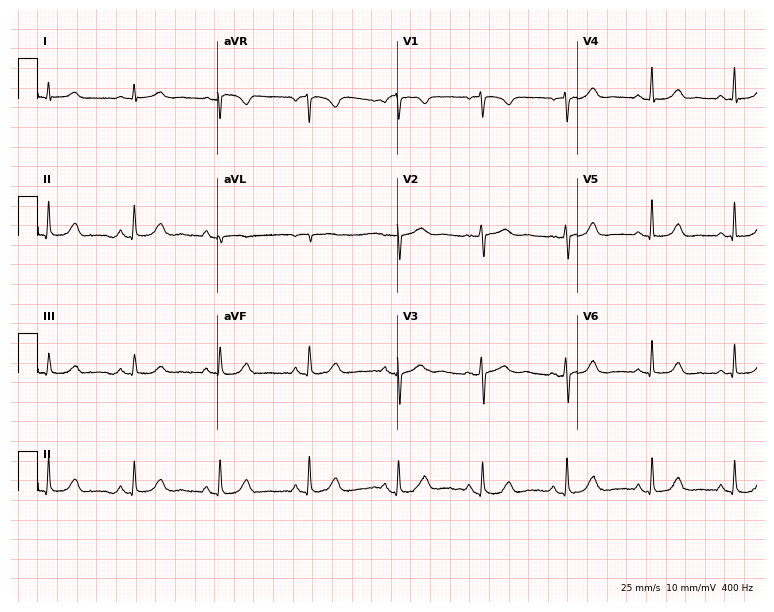
12-lead ECG from a woman, 47 years old (7.3-second recording at 400 Hz). Recorded interpretation: within normal limits.